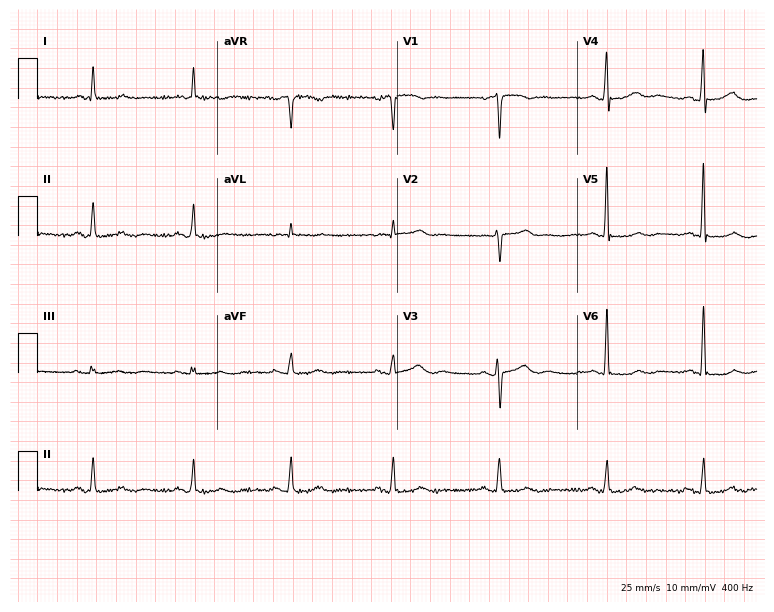
12-lead ECG from a female patient, 61 years old. Screened for six findings — first-degree AV block, right bundle branch block, left bundle branch block, sinus bradycardia, atrial fibrillation, sinus tachycardia — none is recorded.